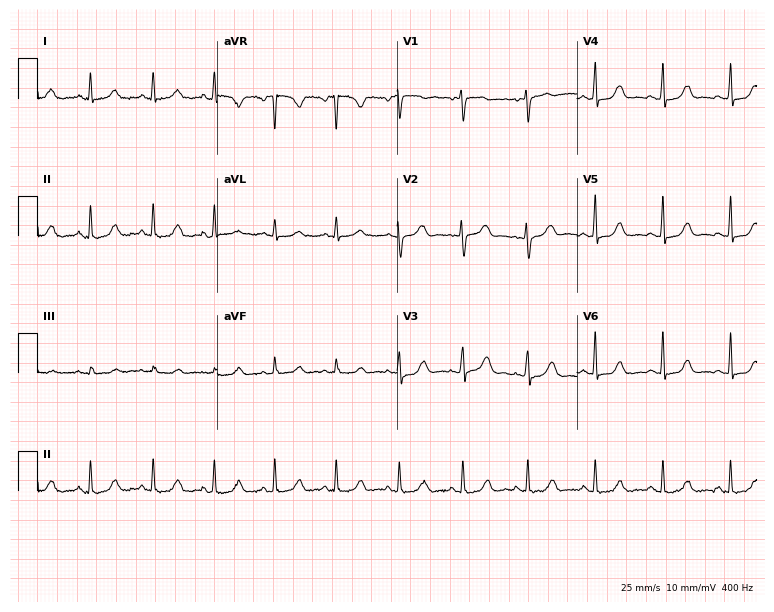
12-lead ECG from a female, 33 years old (7.3-second recording at 400 Hz). No first-degree AV block, right bundle branch block (RBBB), left bundle branch block (LBBB), sinus bradycardia, atrial fibrillation (AF) or sinus tachycardia recorded for this tracing.